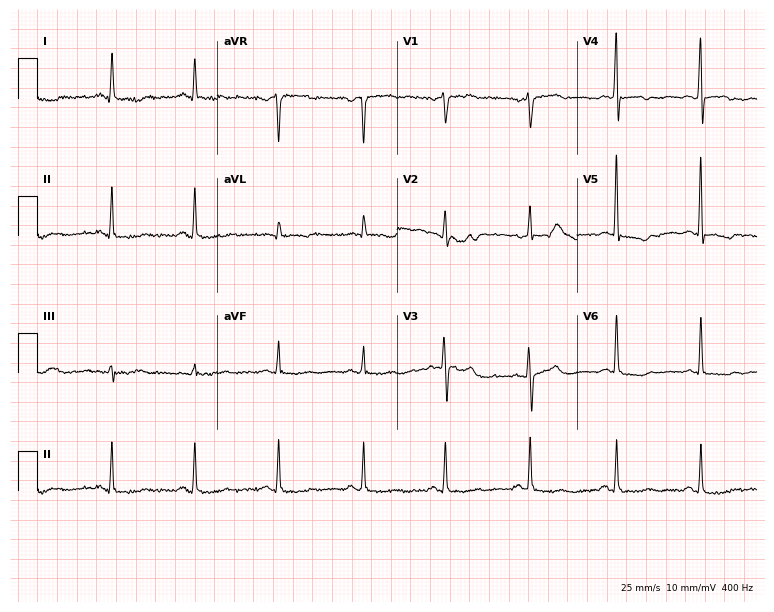
ECG — a woman, 59 years old. Screened for six findings — first-degree AV block, right bundle branch block, left bundle branch block, sinus bradycardia, atrial fibrillation, sinus tachycardia — none is recorded. Findings outside these six are not listed.